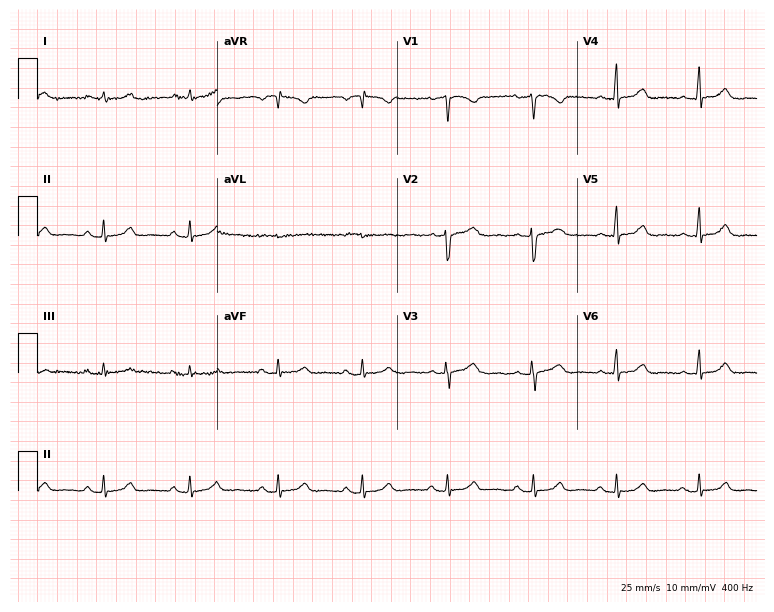
ECG — a female, 45 years old. Screened for six findings — first-degree AV block, right bundle branch block (RBBB), left bundle branch block (LBBB), sinus bradycardia, atrial fibrillation (AF), sinus tachycardia — none is recorded.